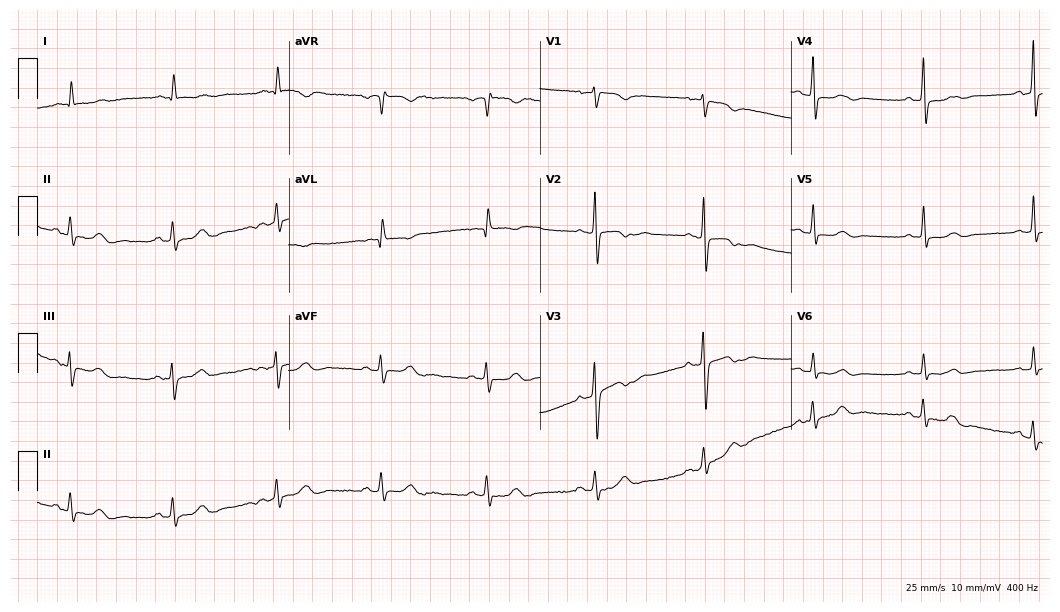
Standard 12-lead ECG recorded from a female patient, 75 years old. None of these six findings is recorded: first-degree AV block, right bundle branch block, left bundle branch block, sinus bradycardia, atrial fibrillation, sinus tachycardia.